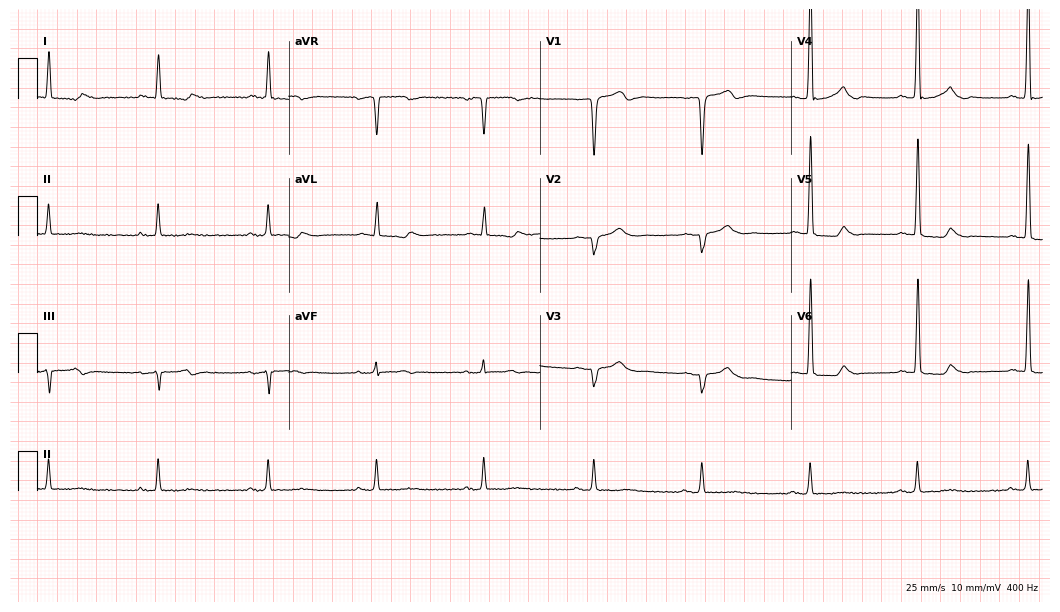
ECG — a man, 72 years old. Screened for six findings — first-degree AV block, right bundle branch block, left bundle branch block, sinus bradycardia, atrial fibrillation, sinus tachycardia — none is recorded.